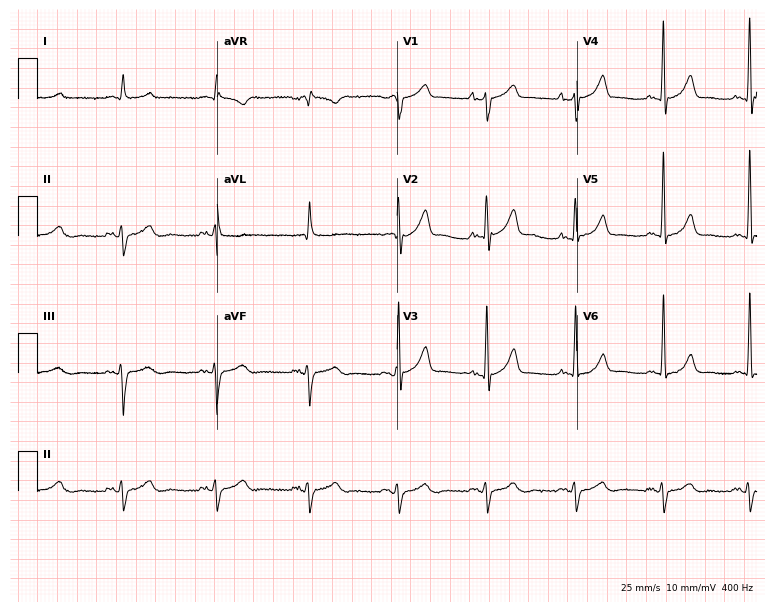
Resting 12-lead electrocardiogram. Patient: a 69-year-old man. None of these six findings is recorded: first-degree AV block, right bundle branch block, left bundle branch block, sinus bradycardia, atrial fibrillation, sinus tachycardia.